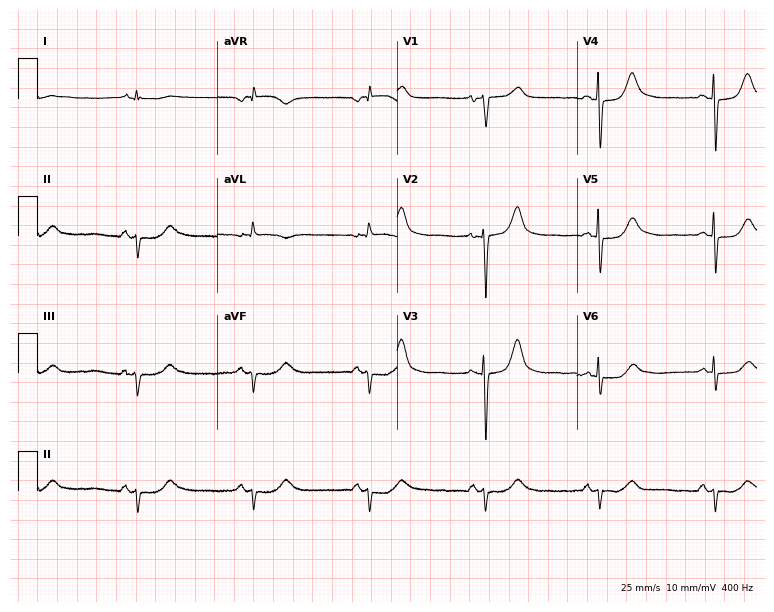
Standard 12-lead ECG recorded from a male, 73 years old. None of these six findings is recorded: first-degree AV block, right bundle branch block (RBBB), left bundle branch block (LBBB), sinus bradycardia, atrial fibrillation (AF), sinus tachycardia.